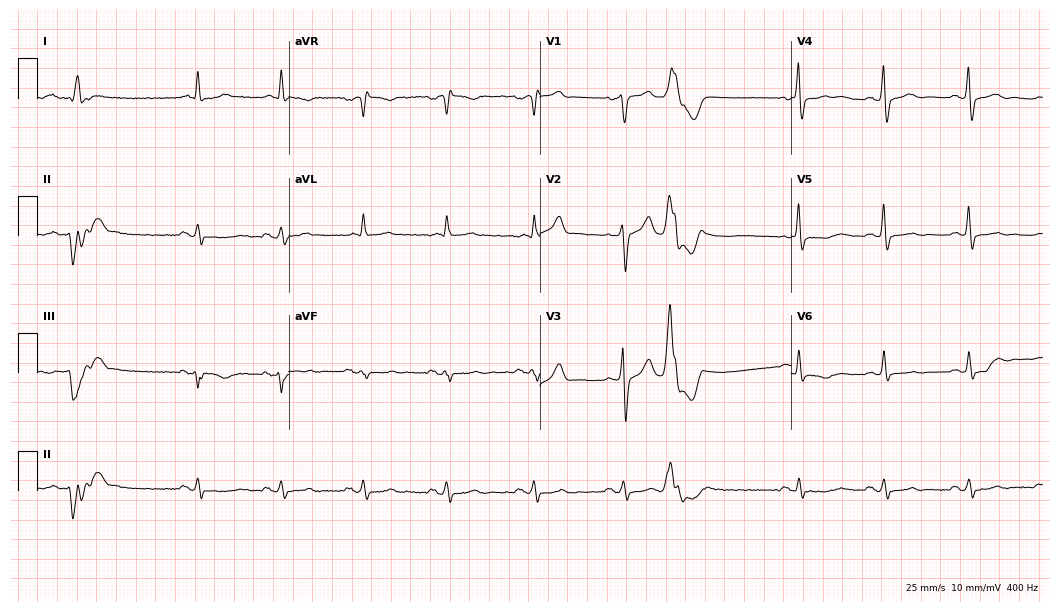
ECG (10.2-second recording at 400 Hz) — a 60-year-old male. Screened for six findings — first-degree AV block, right bundle branch block (RBBB), left bundle branch block (LBBB), sinus bradycardia, atrial fibrillation (AF), sinus tachycardia — none is recorded.